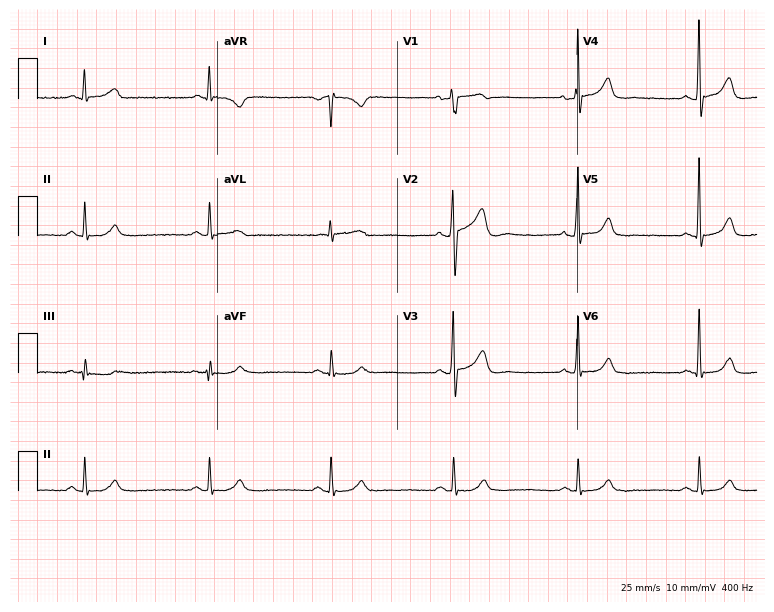
12-lead ECG from a male, 59 years old. Labelled as a normal ECG.